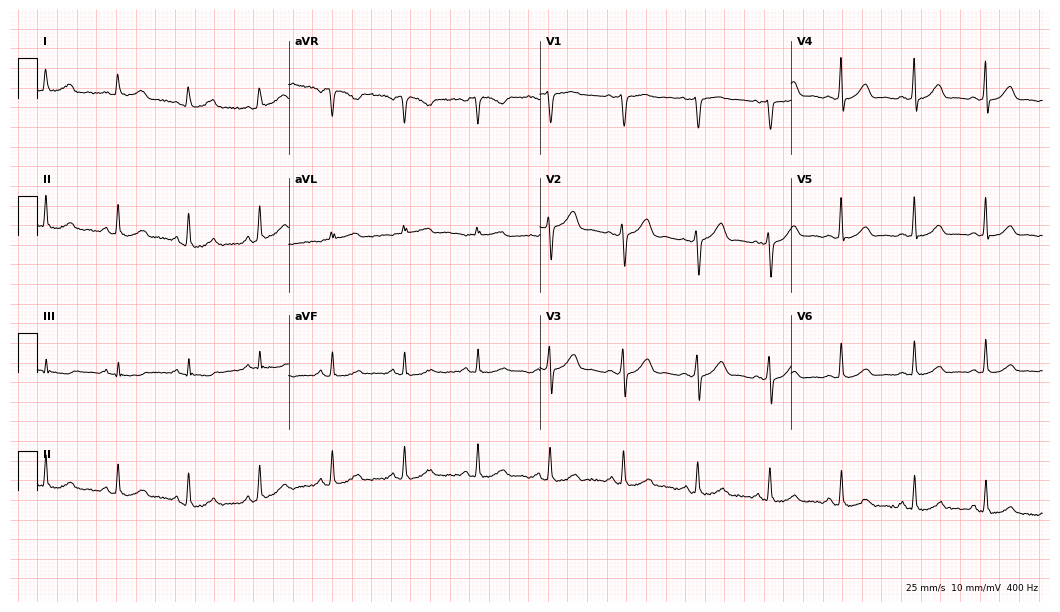
Resting 12-lead electrocardiogram (10.2-second recording at 400 Hz). Patient: a 67-year-old female. Read as a normal ECG.